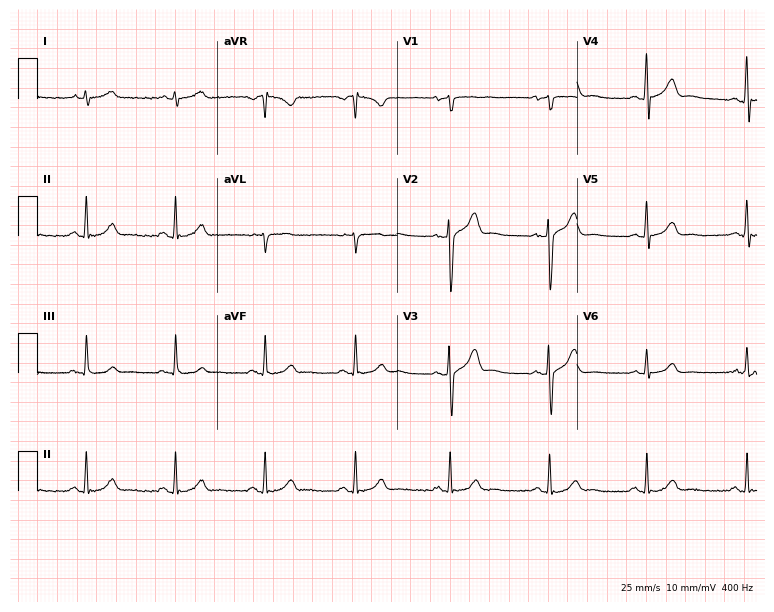
Resting 12-lead electrocardiogram (7.3-second recording at 400 Hz). Patient: a 46-year-old male. Read as a normal ECG.